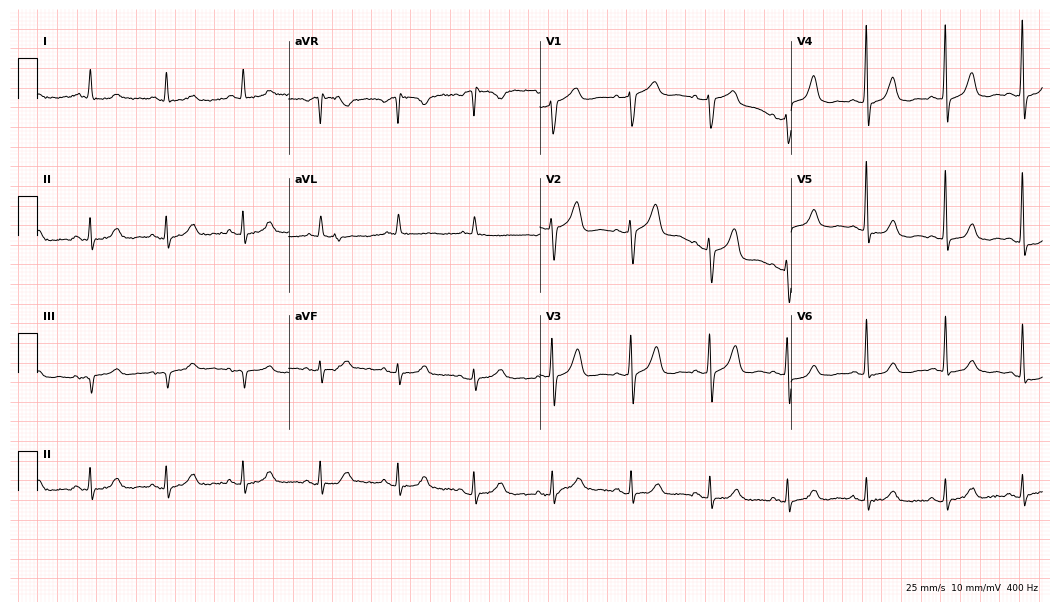
Resting 12-lead electrocardiogram (10.2-second recording at 400 Hz). Patient: a female, 83 years old. None of these six findings is recorded: first-degree AV block, right bundle branch block (RBBB), left bundle branch block (LBBB), sinus bradycardia, atrial fibrillation (AF), sinus tachycardia. Only these six findings were labelled.